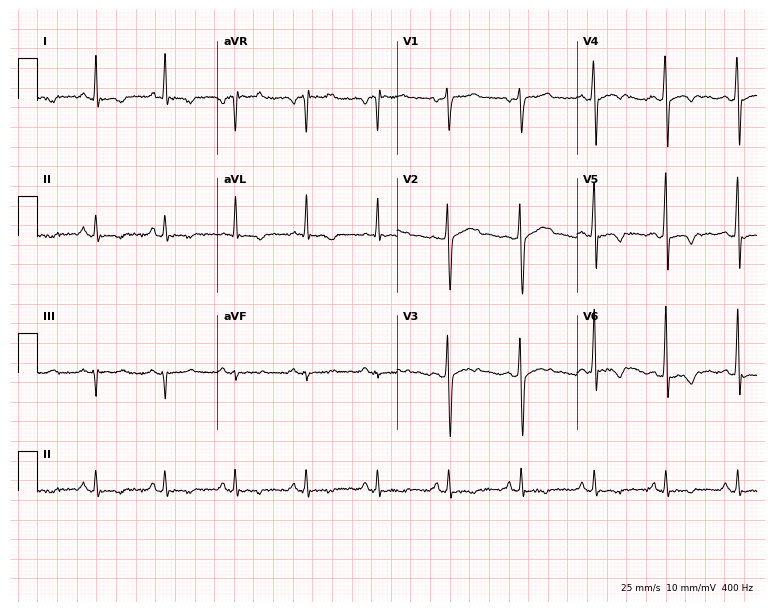
Electrocardiogram, a male, 52 years old. Of the six screened findings (first-degree AV block, right bundle branch block, left bundle branch block, sinus bradycardia, atrial fibrillation, sinus tachycardia), none is recorded. Other findings, if any, are not listed.